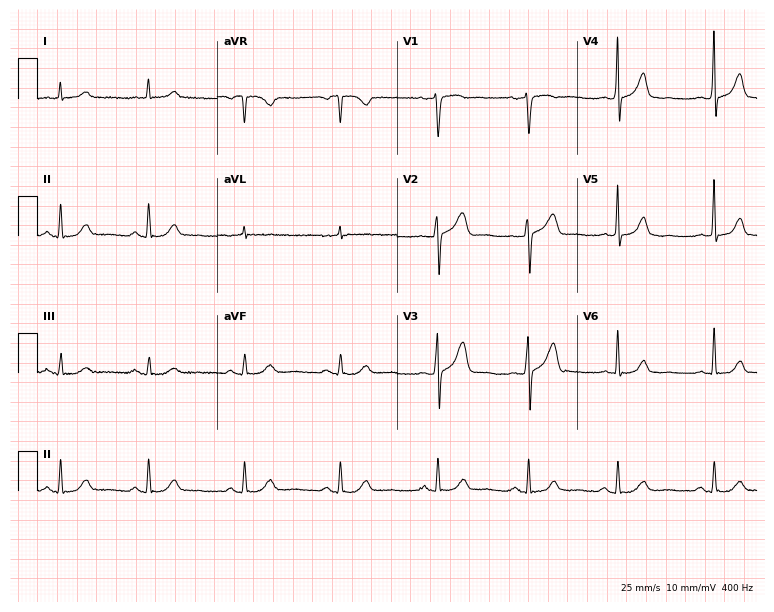
Resting 12-lead electrocardiogram (7.3-second recording at 400 Hz). Patient: a 60-year-old man. None of these six findings is recorded: first-degree AV block, right bundle branch block, left bundle branch block, sinus bradycardia, atrial fibrillation, sinus tachycardia.